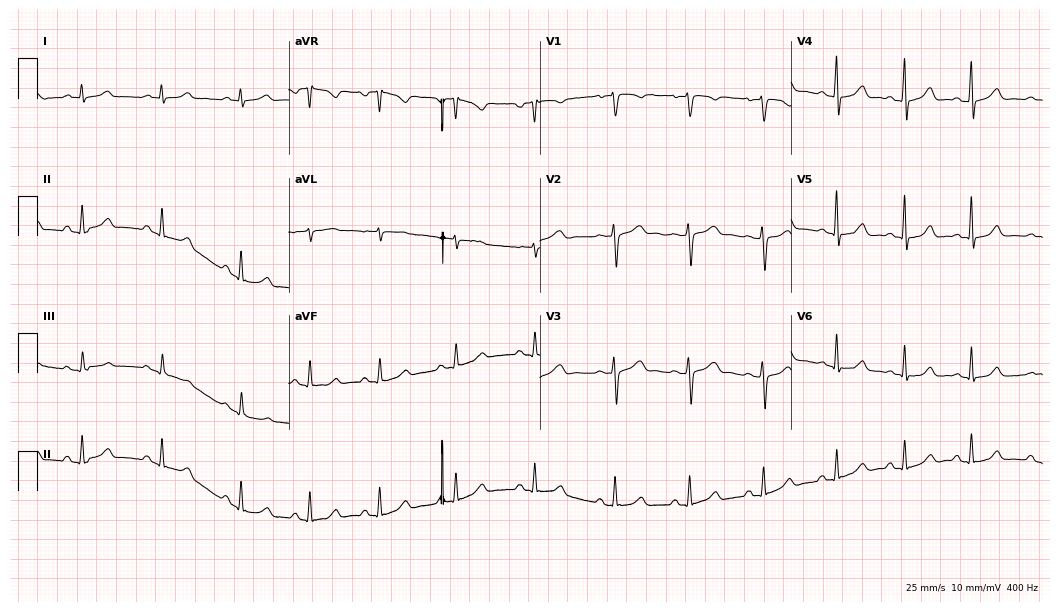
12-lead ECG from a female patient, 37 years old. Labelled as a normal ECG.